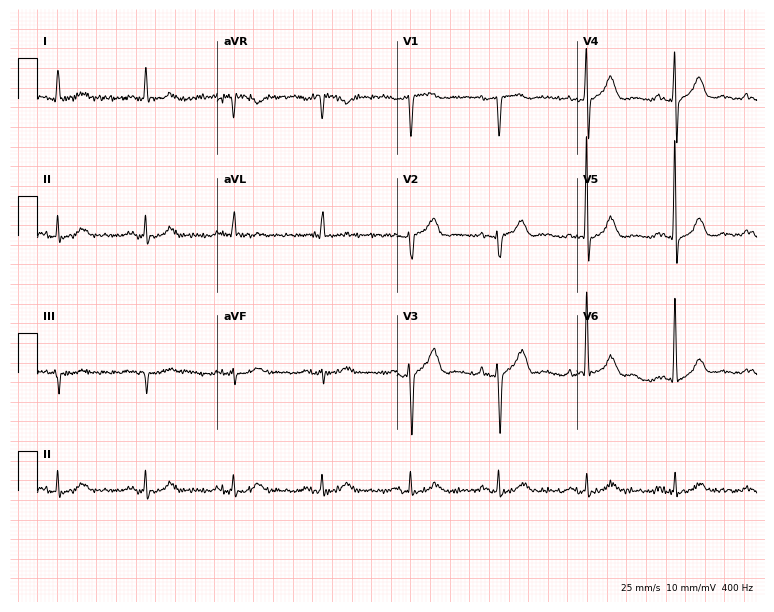
12-lead ECG from a 77-year-old male. Screened for six findings — first-degree AV block, right bundle branch block, left bundle branch block, sinus bradycardia, atrial fibrillation, sinus tachycardia — none is recorded. Findings outside these six are not listed.